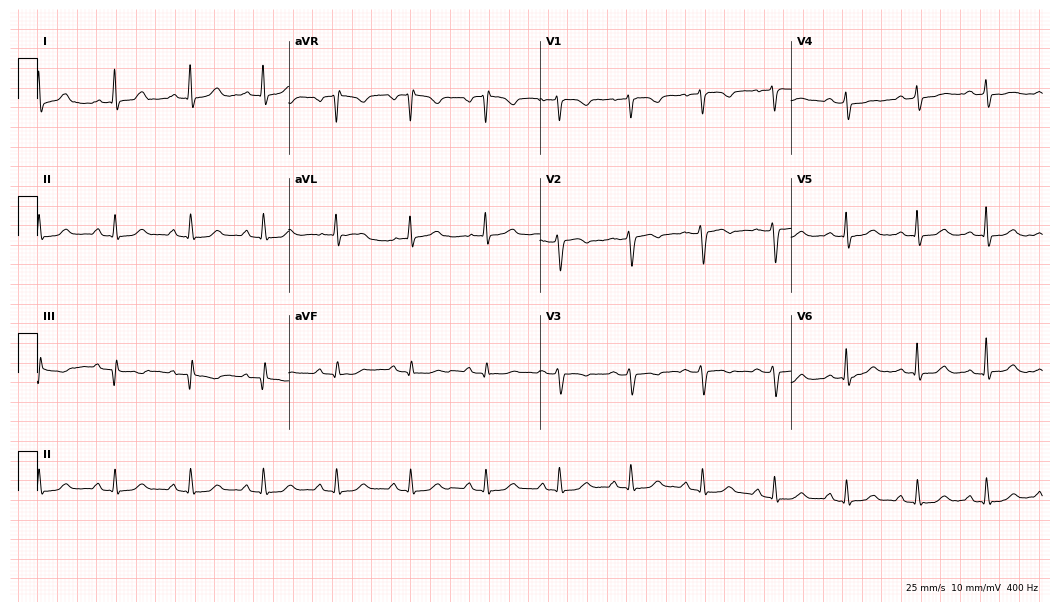
12-lead ECG from a 42-year-old female patient (10.2-second recording at 400 Hz). Recorded interpretation: within normal limits.